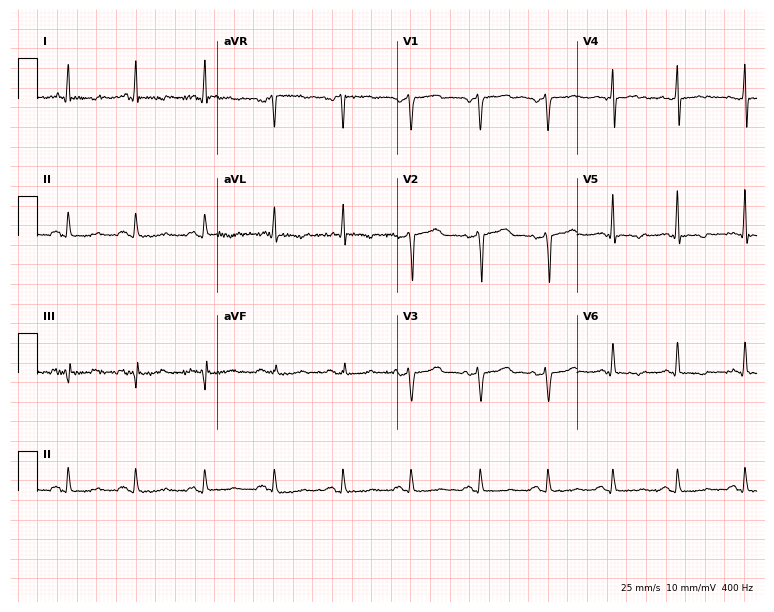
12-lead ECG (7.3-second recording at 400 Hz) from a male patient, 58 years old. Screened for six findings — first-degree AV block, right bundle branch block (RBBB), left bundle branch block (LBBB), sinus bradycardia, atrial fibrillation (AF), sinus tachycardia — none is recorded. Only these six findings were labelled.